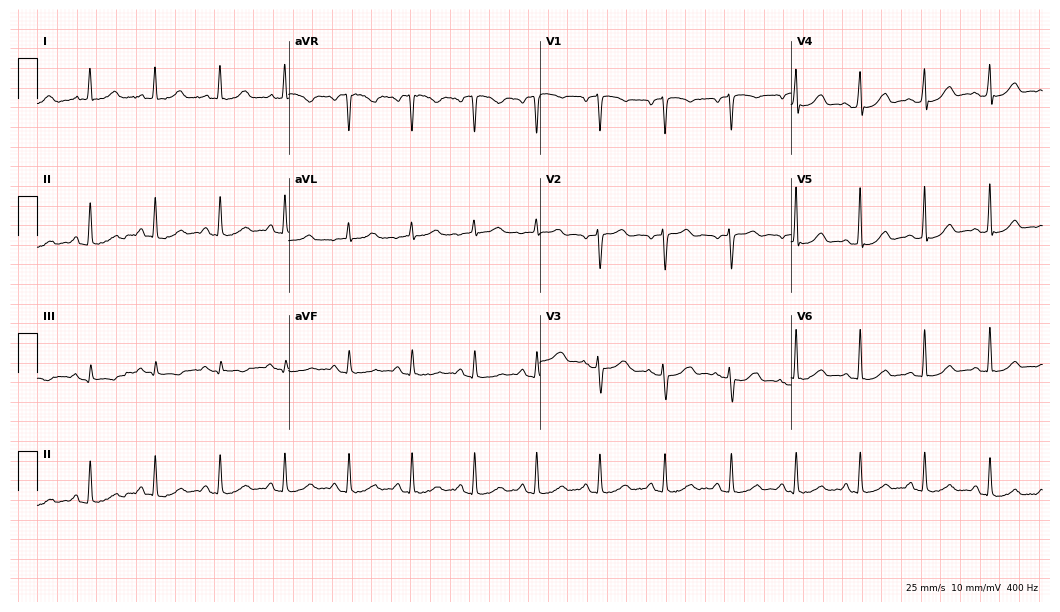
12-lead ECG from a woman, 51 years old (10.2-second recording at 400 Hz). Recorded interpretation: within normal limits.